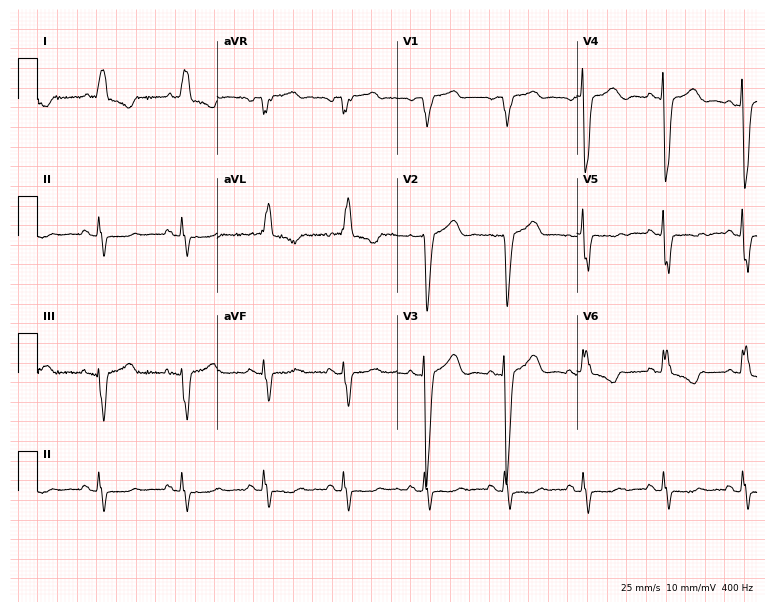
12-lead ECG from a 75-year-old female patient (7.3-second recording at 400 Hz). No first-degree AV block, right bundle branch block, left bundle branch block, sinus bradycardia, atrial fibrillation or sinus tachycardia recorded for this tracing.